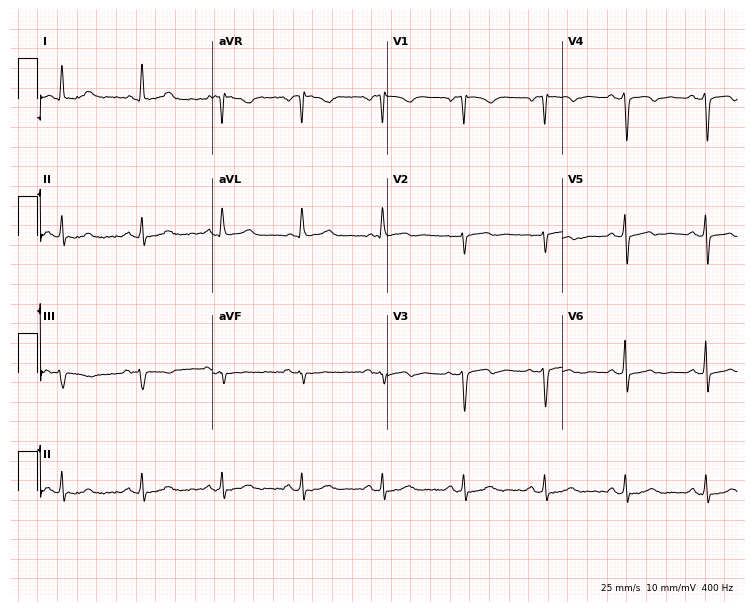
12-lead ECG (7.1-second recording at 400 Hz) from a woman, 62 years old. Screened for six findings — first-degree AV block, right bundle branch block, left bundle branch block, sinus bradycardia, atrial fibrillation, sinus tachycardia — none is recorded.